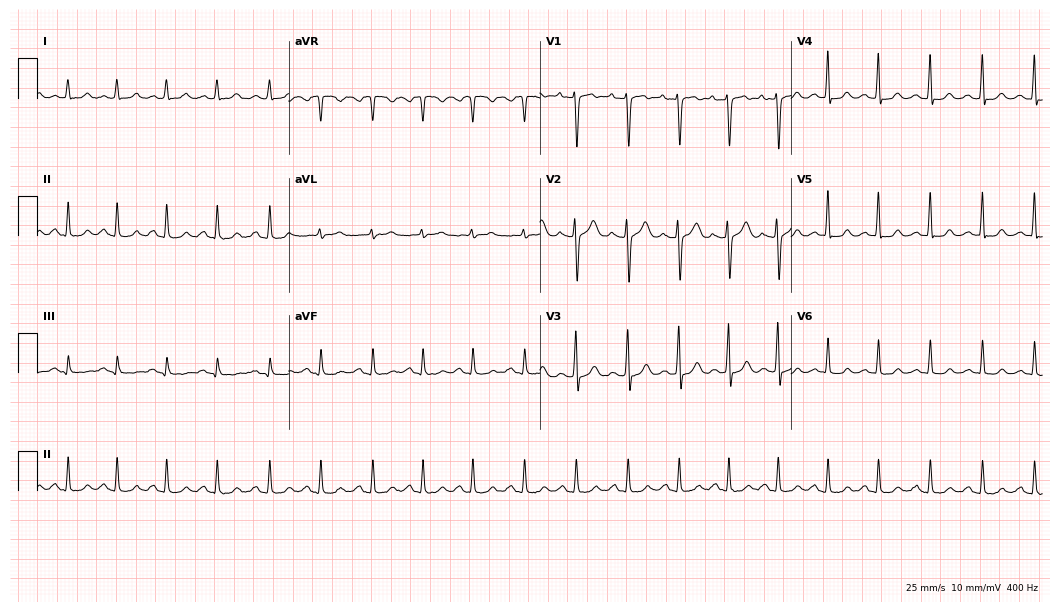
Standard 12-lead ECG recorded from a female patient, 37 years old (10.2-second recording at 400 Hz). The tracing shows sinus tachycardia (a sinus rate of 100 beats per minute or more).